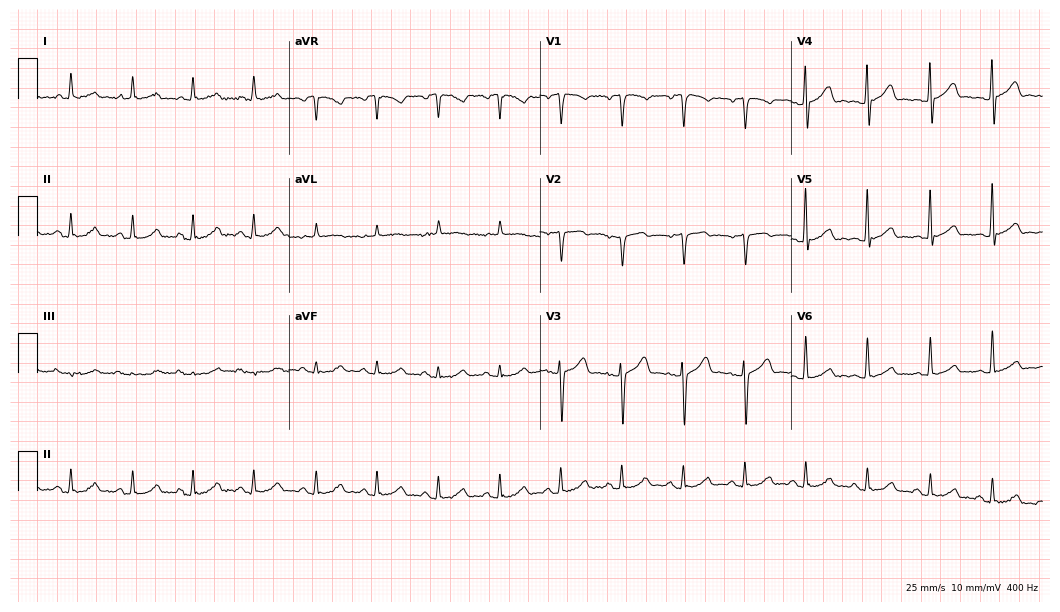
12-lead ECG from a female, 45 years old (10.2-second recording at 400 Hz). No first-degree AV block, right bundle branch block, left bundle branch block, sinus bradycardia, atrial fibrillation or sinus tachycardia recorded for this tracing.